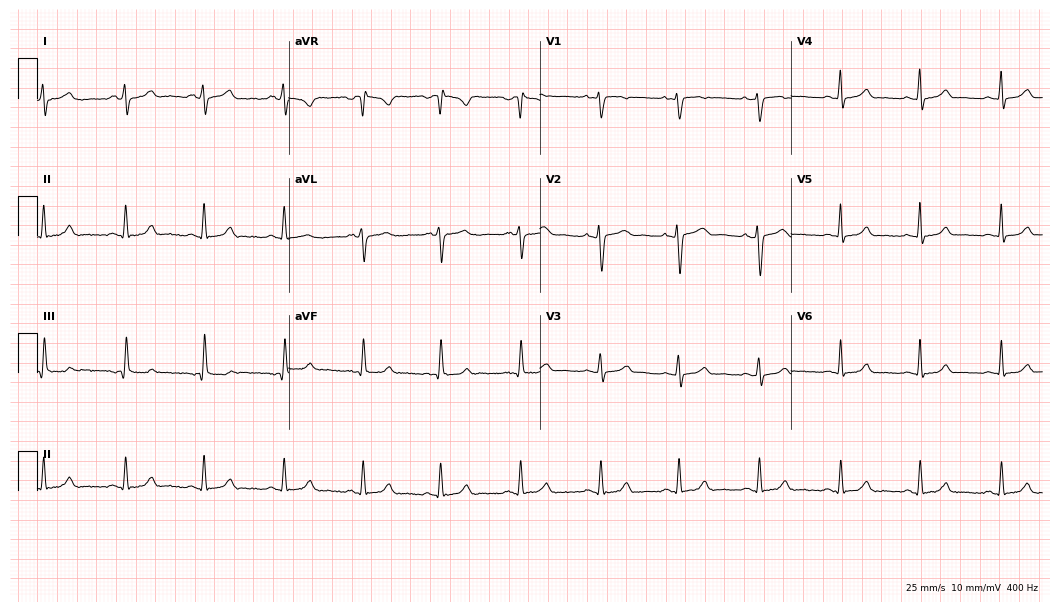
Electrocardiogram, a 30-year-old female. Overall reading on record: normal ECG.